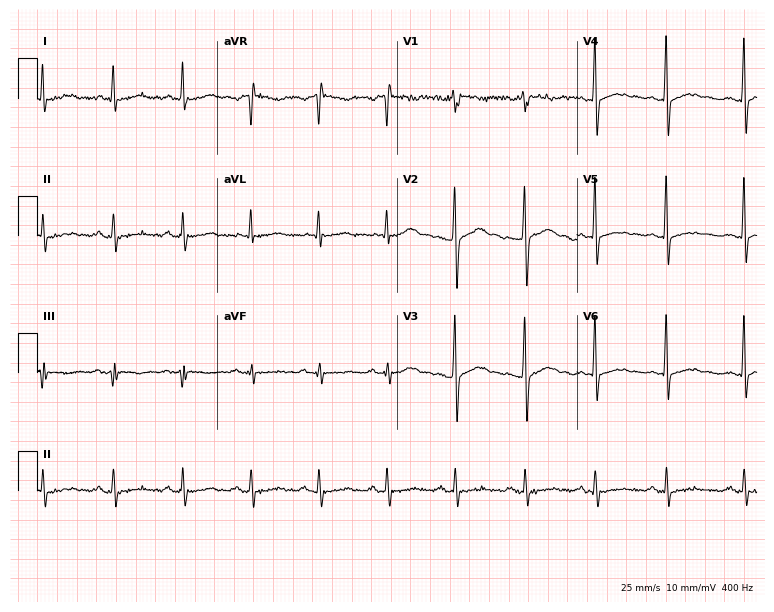
12-lead ECG (7.3-second recording at 400 Hz) from a 53-year-old male. Screened for six findings — first-degree AV block, right bundle branch block, left bundle branch block, sinus bradycardia, atrial fibrillation, sinus tachycardia — none is recorded.